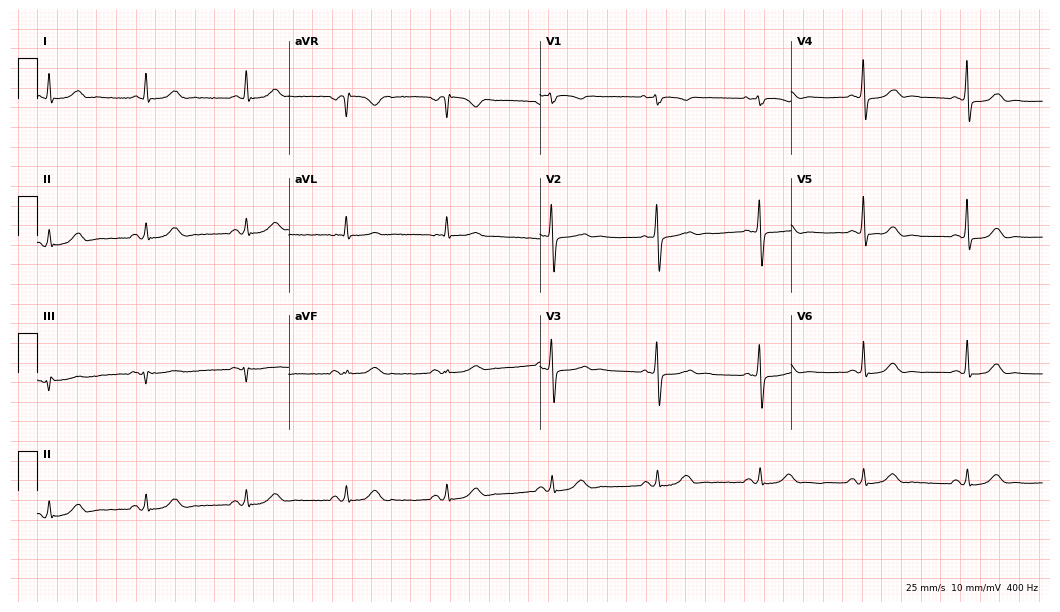
Resting 12-lead electrocardiogram (10.2-second recording at 400 Hz). Patient: a woman, 65 years old. Read as a normal ECG.